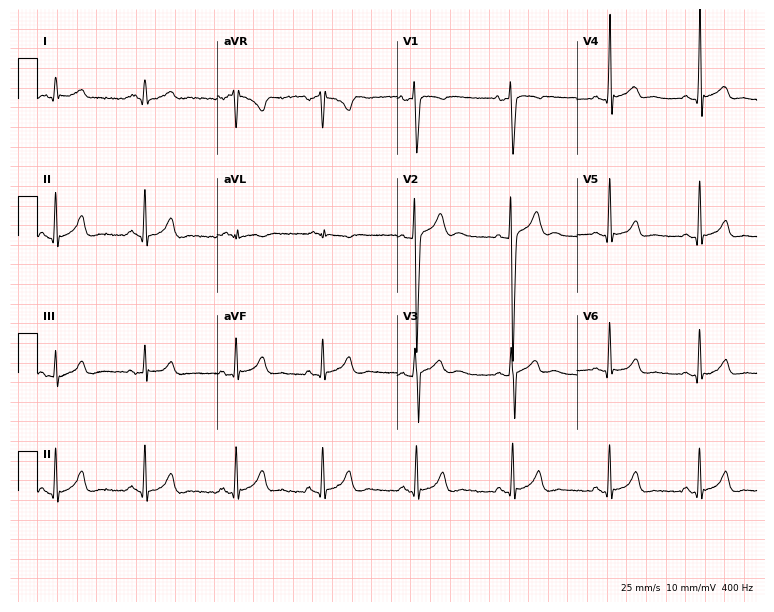
ECG (7.3-second recording at 400 Hz) — a 19-year-old male. Screened for six findings — first-degree AV block, right bundle branch block, left bundle branch block, sinus bradycardia, atrial fibrillation, sinus tachycardia — none is recorded. Only these six findings were labelled.